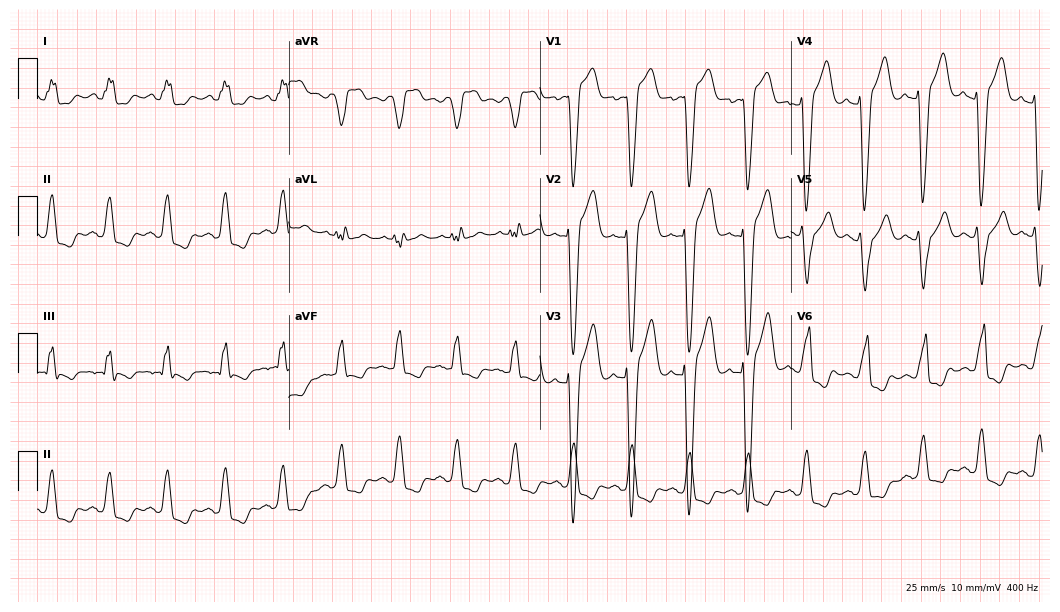
ECG — a man, 69 years old. Findings include left bundle branch block (LBBB), sinus tachycardia (a sinus rate of 100 beats per minute or more).